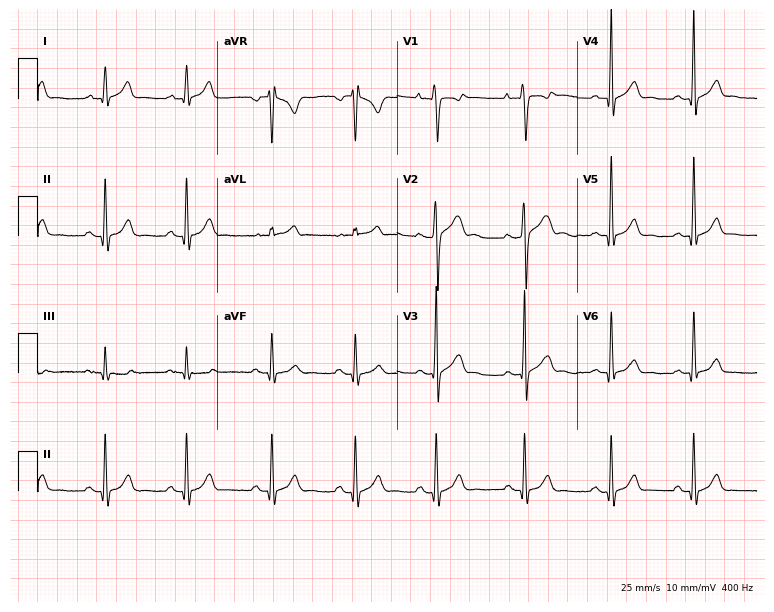
Electrocardiogram (7.3-second recording at 400 Hz), a man, 19 years old. Overall reading on record: normal ECG.